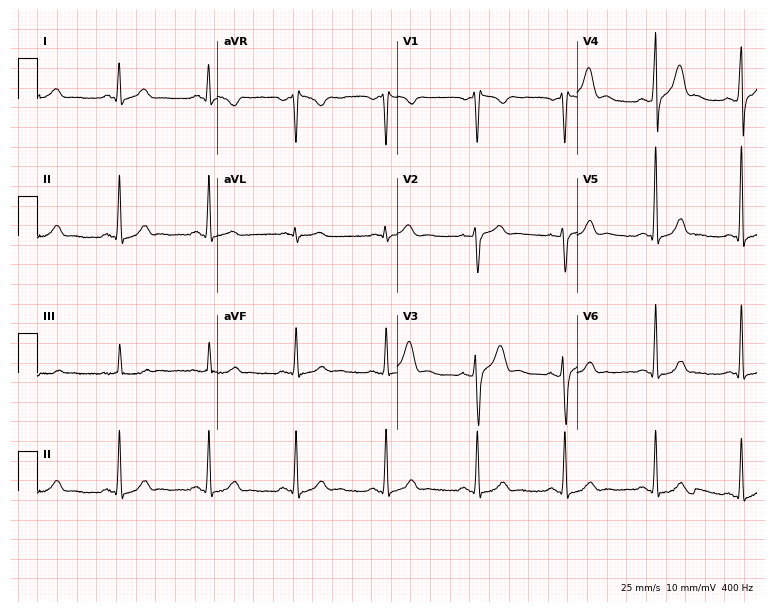
12-lead ECG (7.3-second recording at 400 Hz) from a 45-year-old male patient. Labelled as a normal ECG.